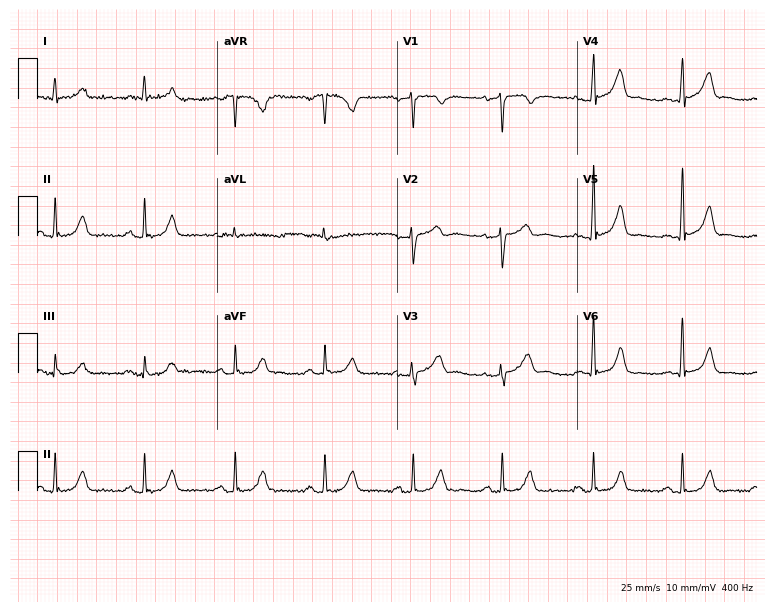
12-lead ECG (7.3-second recording at 400 Hz) from a man, 75 years old. Screened for six findings — first-degree AV block, right bundle branch block, left bundle branch block, sinus bradycardia, atrial fibrillation, sinus tachycardia — none is recorded.